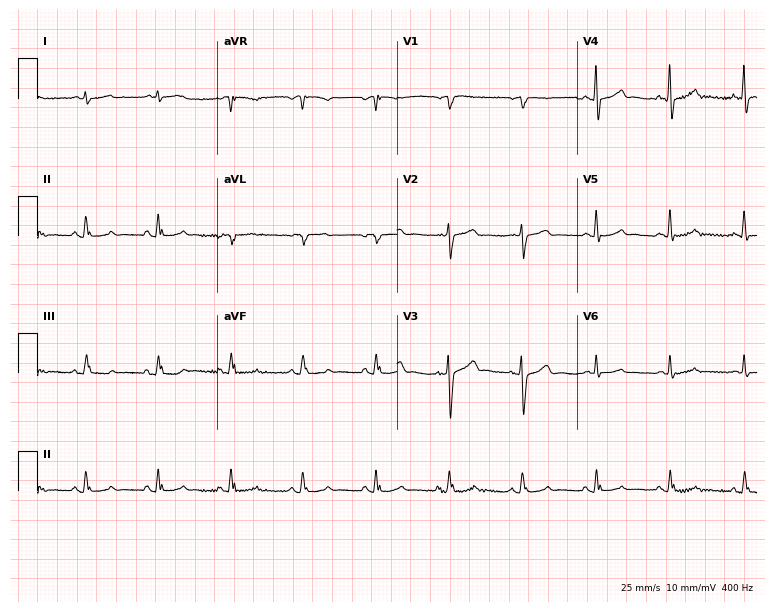
12-lead ECG (7.3-second recording at 400 Hz) from a 78-year-old man. Labelled as a normal ECG.